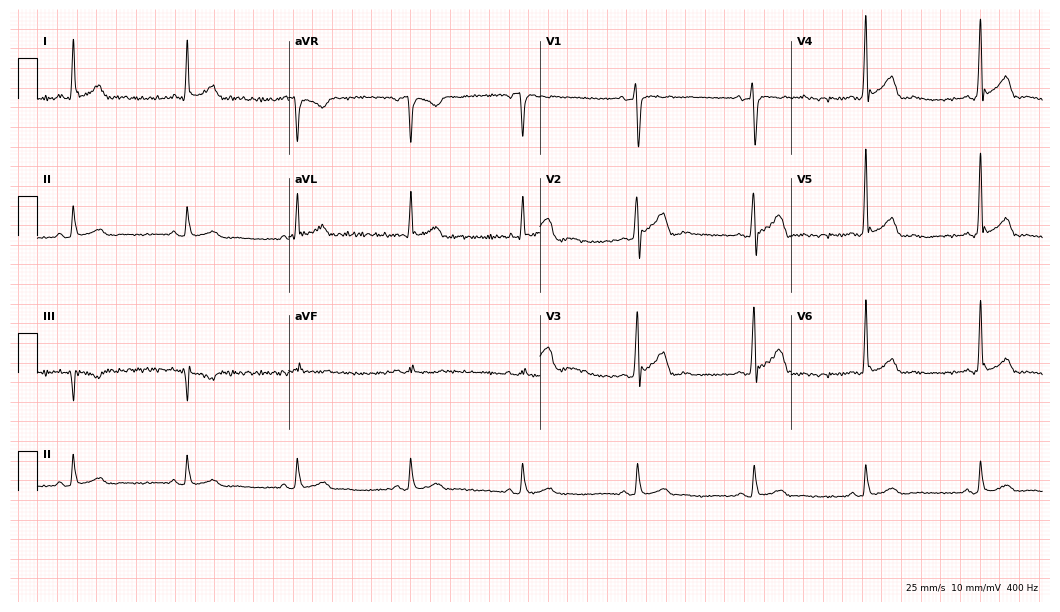
Resting 12-lead electrocardiogram (10.2-second recording at 400 Hz). Patient: a male, 43 years old. Read as a normal ECG.